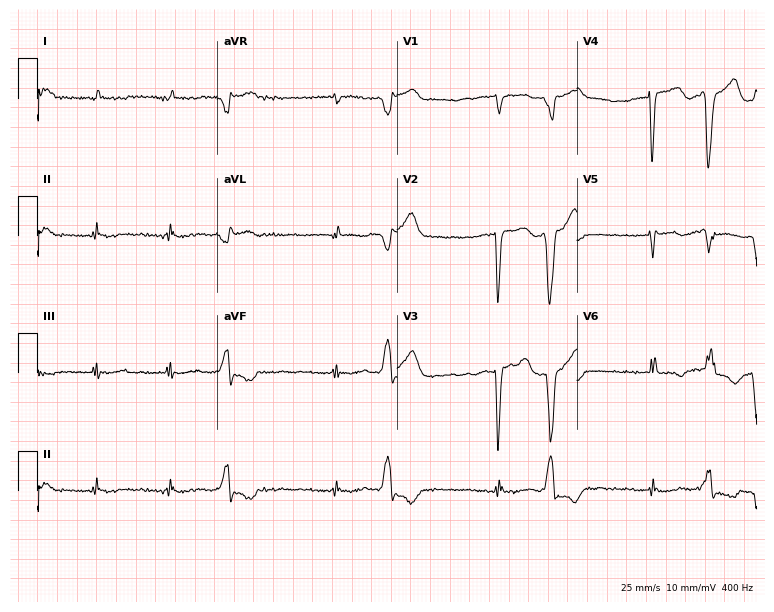
Electrocardiogram, a 70-year-old male. Interpretation includes atrial fibrillation.